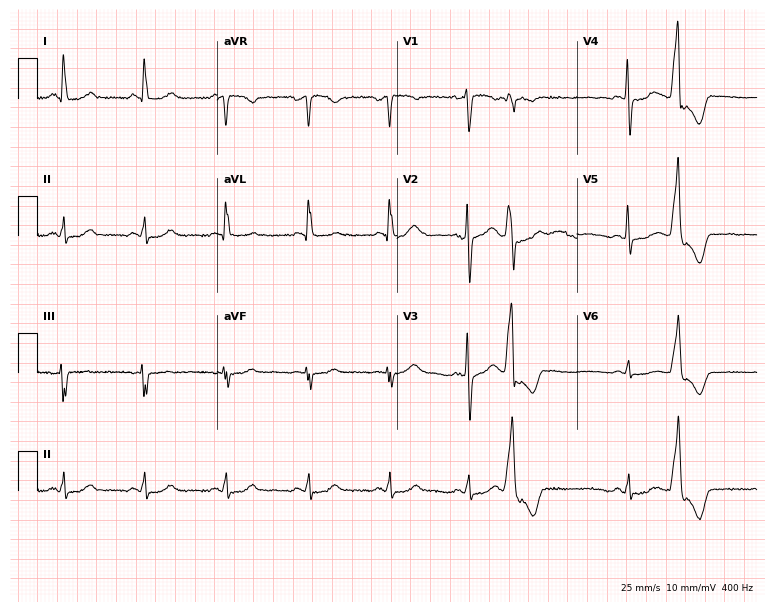
ECG — a female, 53 years old. Screened for six findings — first-degree AV block, right bundle branch block, left bundle branch block, sinus bradycardia, atrial fibrillation, sinus tachycardia — none is recorded. Only these six findings were labelled.